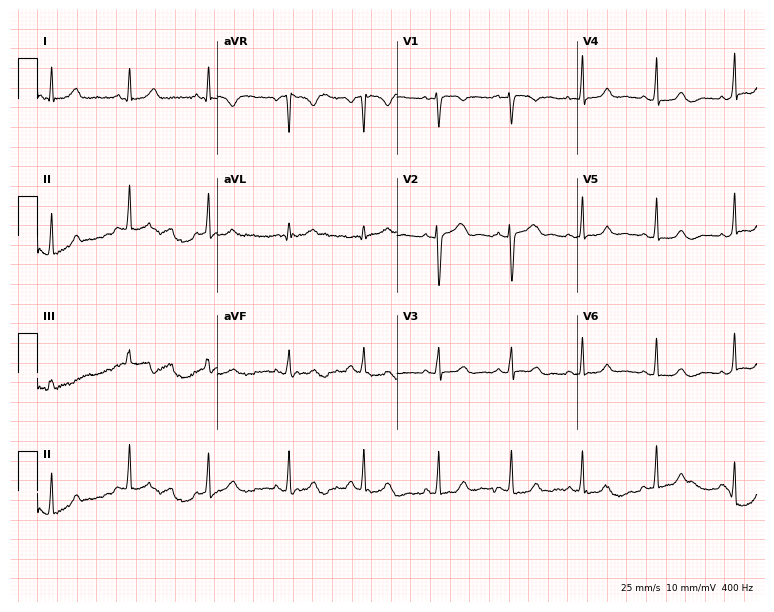
Resting 12-lead electrocardiogram (7.3-second recording at 400 Hz). Patient: a female, 30 years old. Read as a normal ECG.